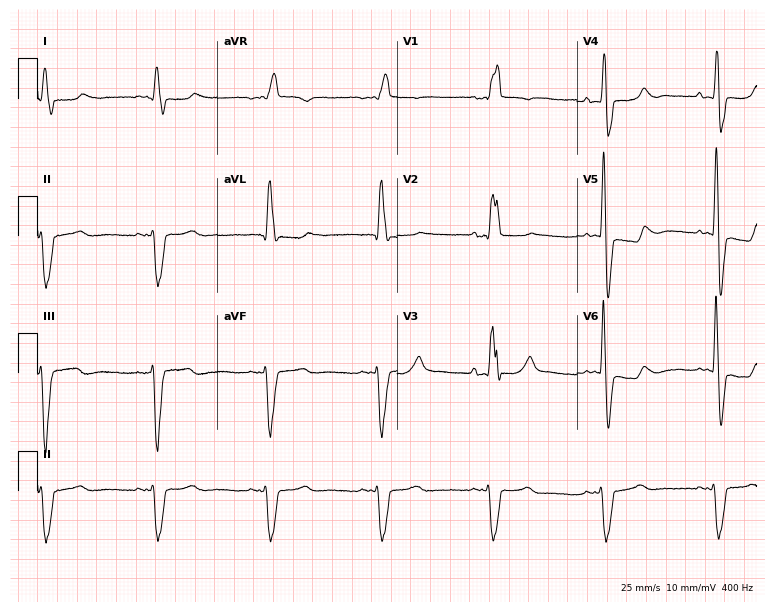
12-lead ECG (7.3-second recording at 400 Hz) from a male, 66 years old. Findings include right bundle branch block (RBBB).